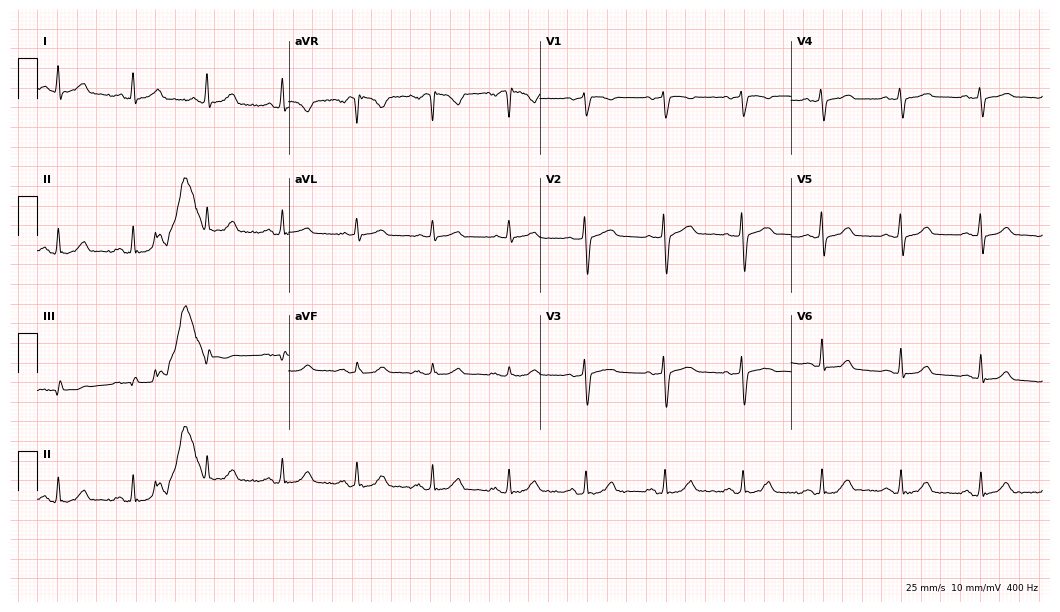
12-lead ECG from a woman, 54 years old. Recorded interpretation: within normal limits.